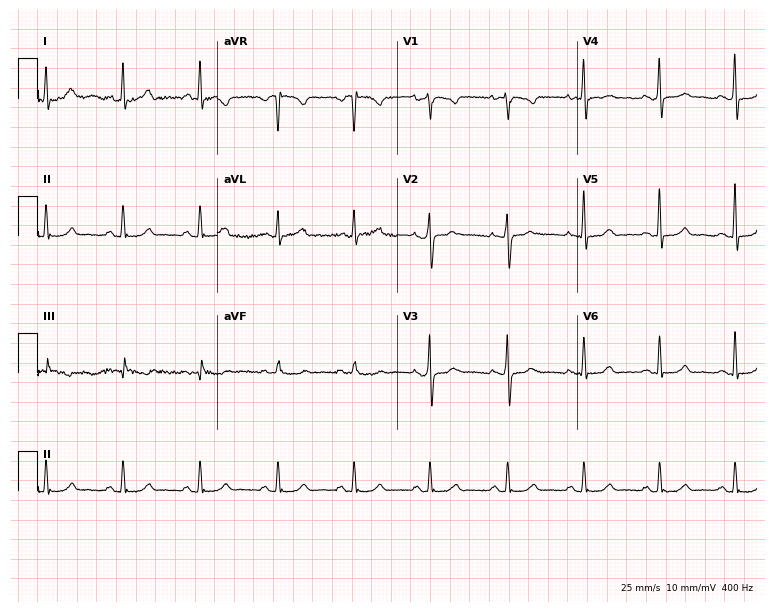
Standard 12-lead ECG recorded from a female, 39 years old (7.3-second recording at 400 Hz). Read as a normal ECG.